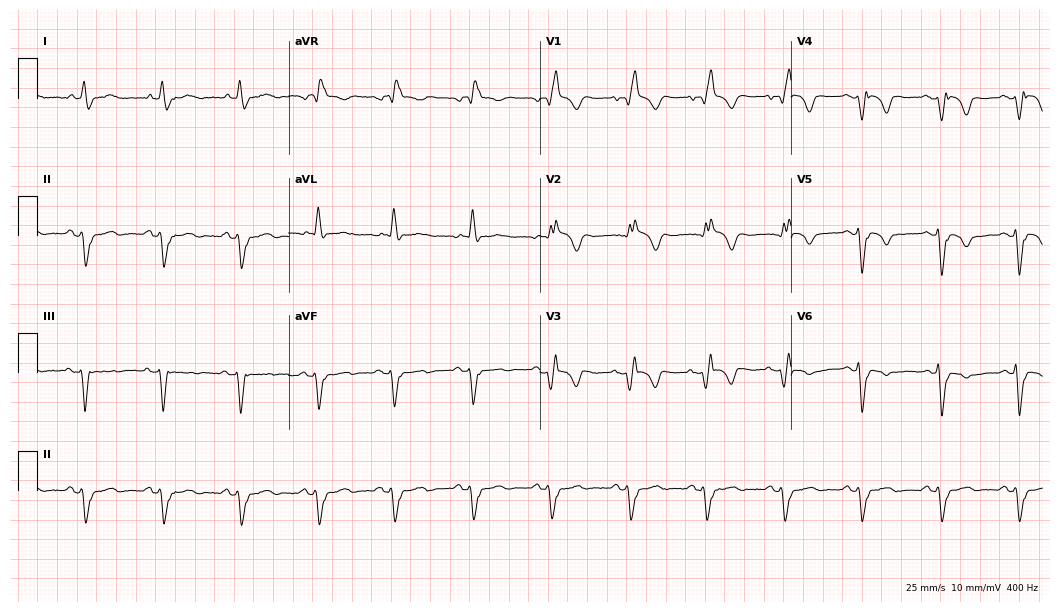
Electrocardiogram, a man, 81 years old. Interpretation includes right bundle branch block.